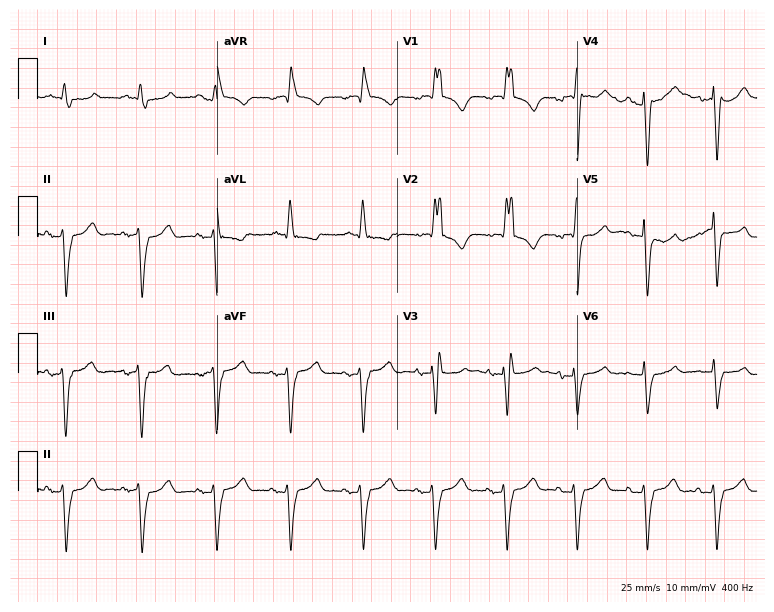
ECG — a 71-year-old male. Findings include right bundle branch block.